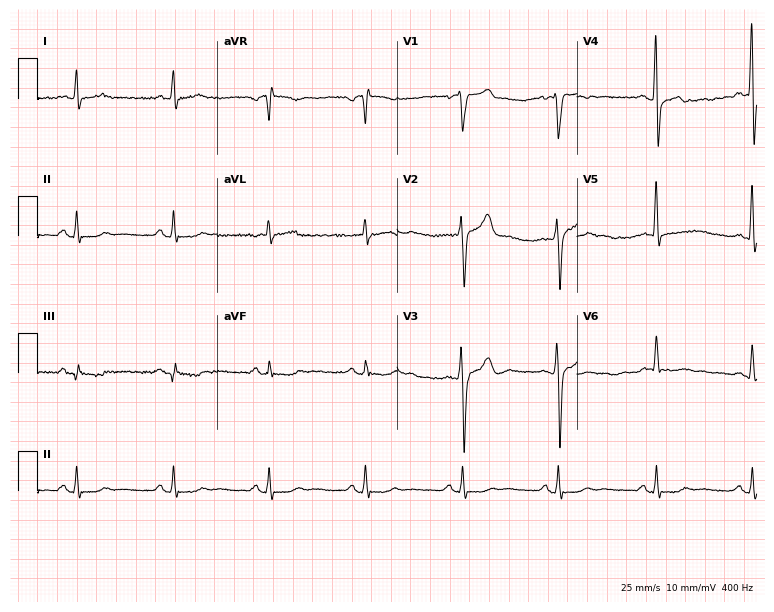
12-lead ECG from a 48-year-old male patient. Screened for six findings — first-degree AV block, right bundle branch block, left bundle branch block, sinus bradycardia, atrial fibrillation, sinus tachycardia — none is recorded. Other findings, if any, are not listed.